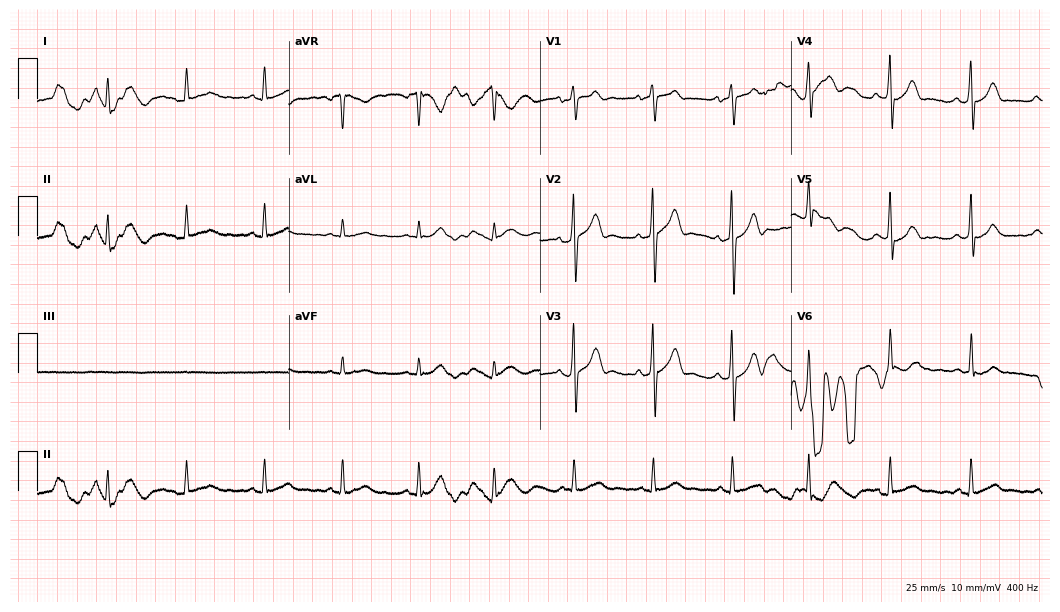
12-lead ECG from a 57-year-old male (10.2-second recording at 400 Hz). Recorded interpretation: within normal limits.